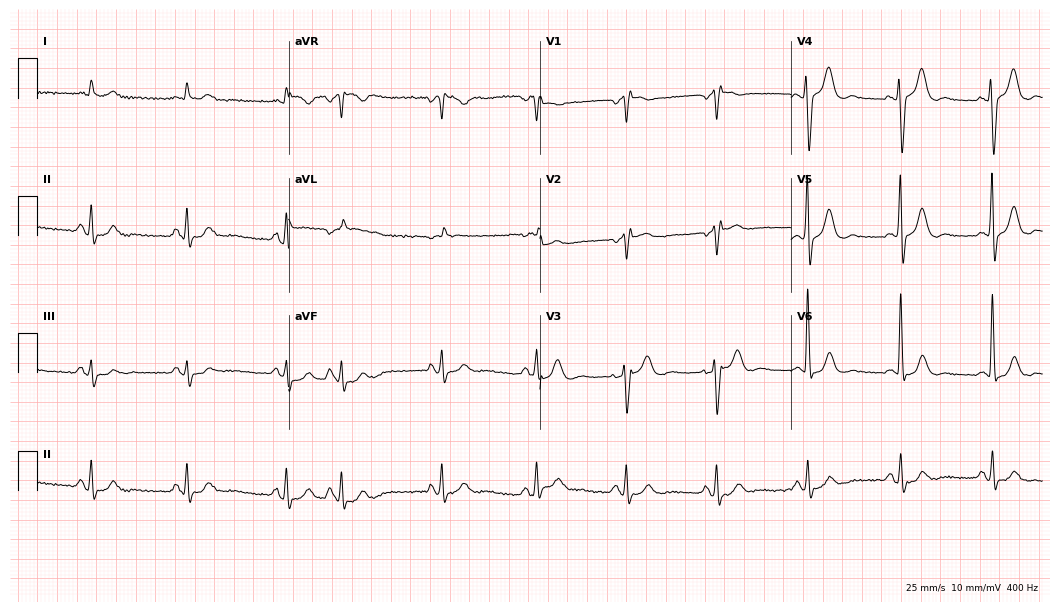
Electrocardiogram, a man, 69 years old. Interpretation includes right bundle branch block.